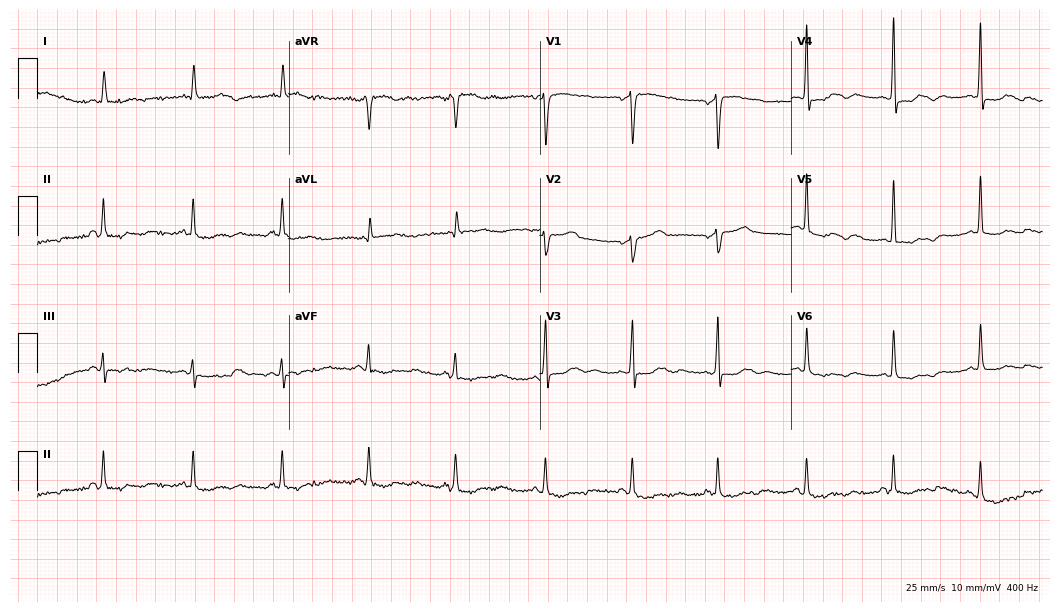
Resting 12-lead electrocardiogram. Patient: a 73-year-old female. None of these six findings is recorded: first-degree AV block, right bundle branch block, left bundle branch block, sinus bradycardia, atrial fibrillation, sinus tachycardia. Other findings, if any, are not listed.